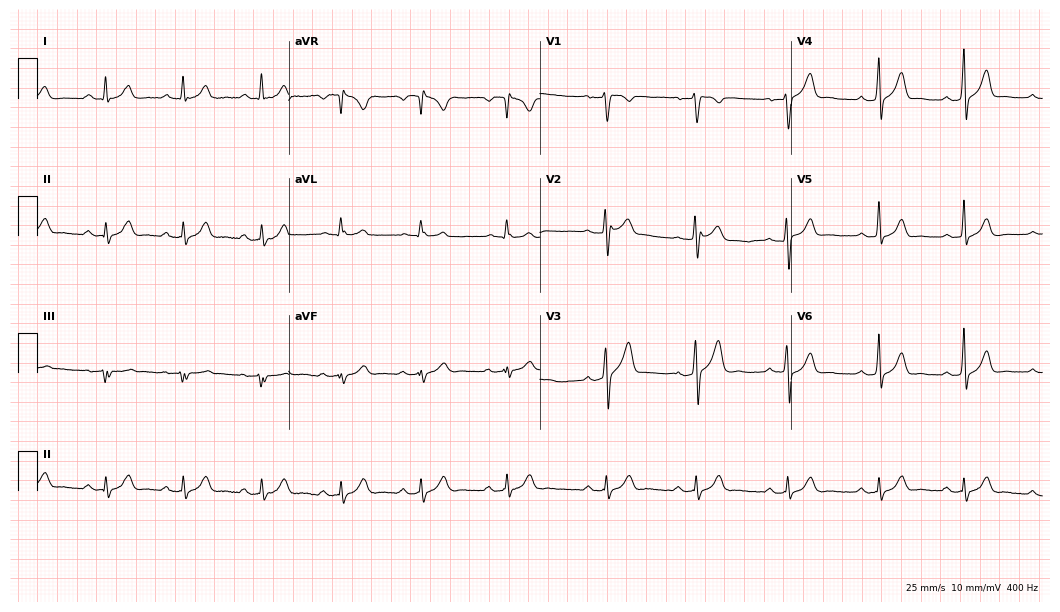
Resting 12-lead electrocardiogram (10.2-second recording at 400 Hz). Patient: a male, 28 years old. Read as a normal ECG.